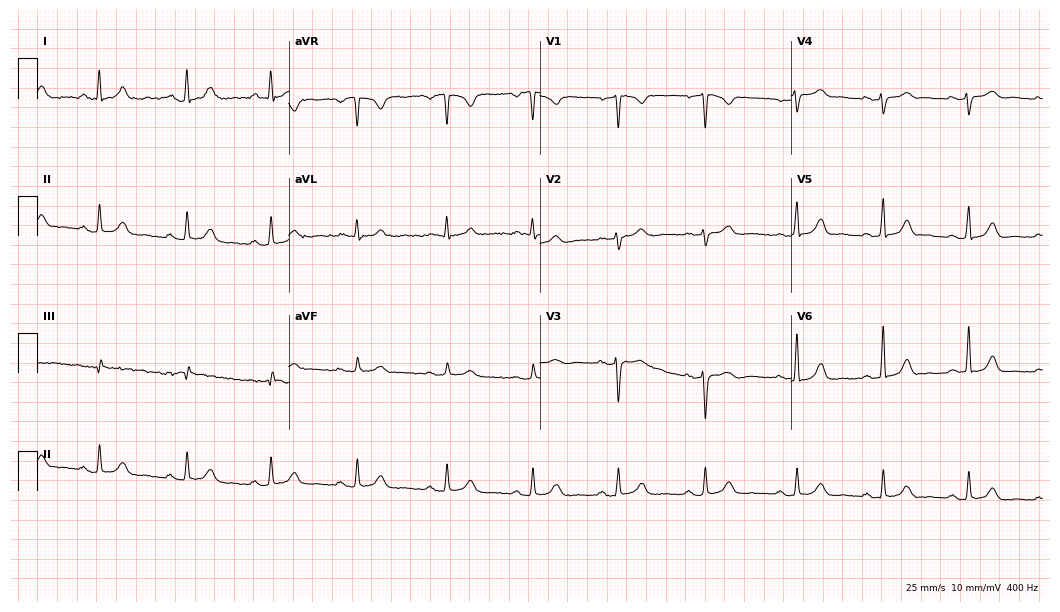
12-lead ECG from a 41-year-old female patient (10.2-second recording at 400 Hz). Recorded interpretation: within normal limits.